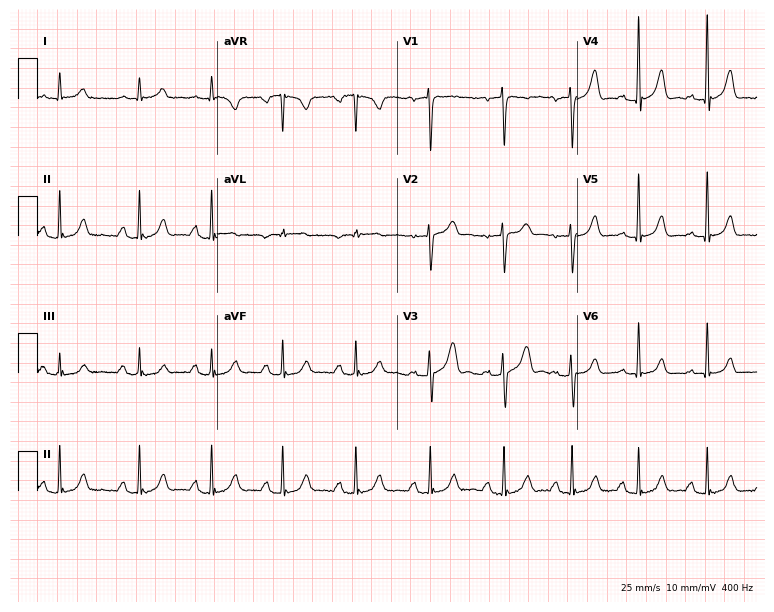
Standard 12-lead ECG recorded from a 53-year-old male patient. None of these six findings is recorded: first-degree AV block, right bundle branch block, left bundle branch block, sinus bradycardia, atrial fibrillation, sinus tachycardia.